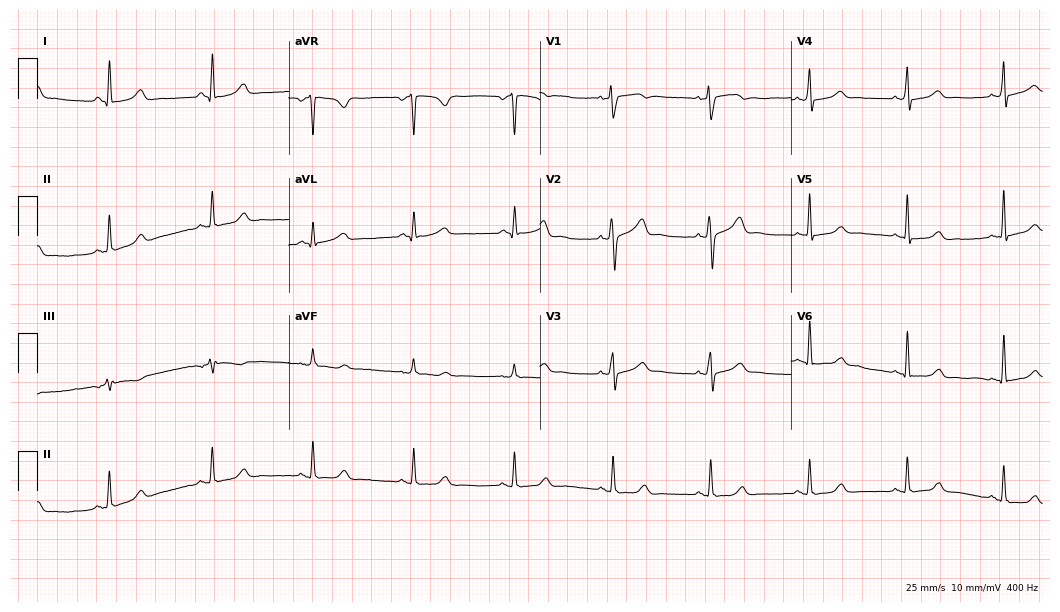
Electrocardiogram (10.2-second recording at 400 Hz), a woman, 60 years old. Overall reading on record: normal ECG.